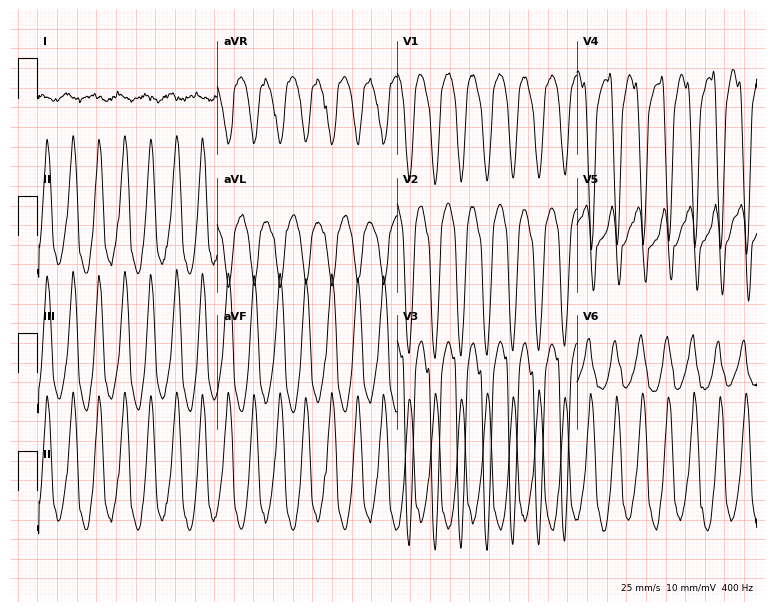
Electrocardiogram (7.3-second recording at 400 Hz), a 56-year-old woman. Of the six screened findings (first-degree AV block, right bundle branch block (RBBB), left bundle branch block (LBBB), sinus bradycardia, atrial fibrillation (AF), sinus tachycardia), none is recorded. Only these six findings were labelled.